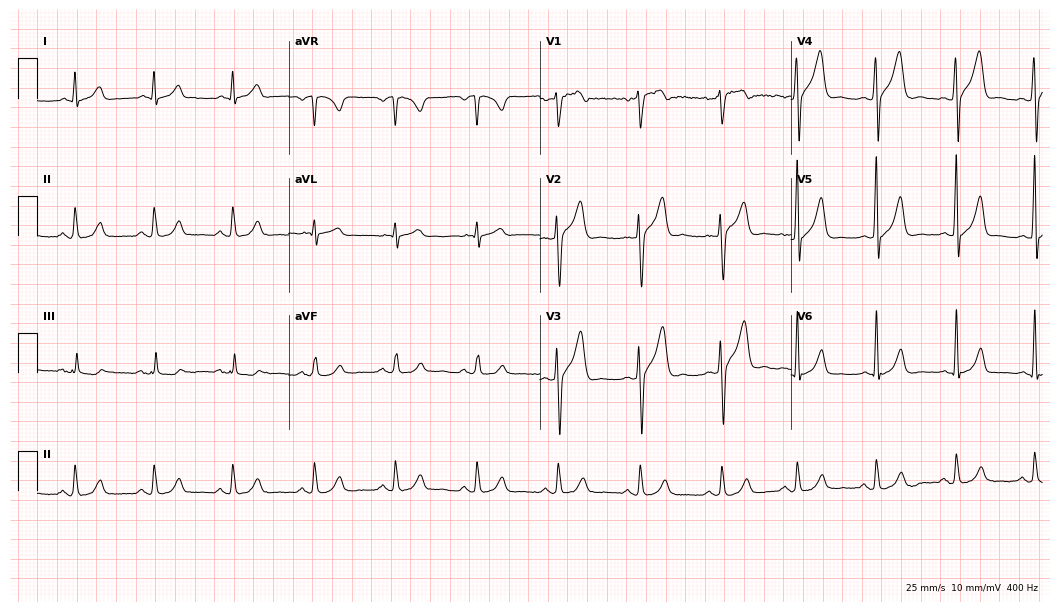
12-lead ECG from a man, 53 years old. No first-degree AV block, right bundle branch block, left bundle branch block, sinus bradycardia, atrial fibrillation or sinus tachycardia recorded for this tracing.